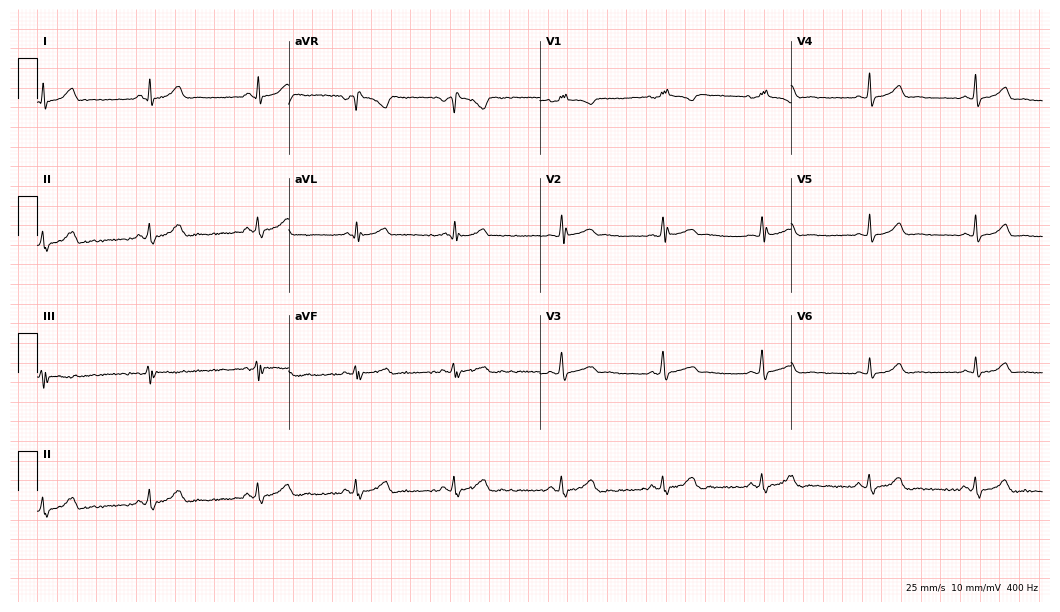
ECG — a 22-year-old female. Labelled as a normal ECG.